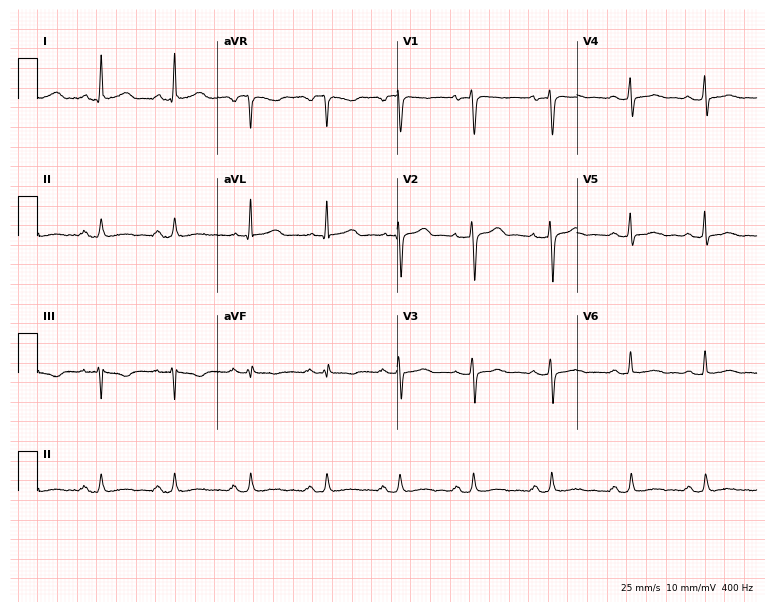
Resting 12-lead electrocardiogram. Patient: a man, 44 years old. None of these six findings is recorded: first-degree AV block, right bundle branch block, left bundle branch block, sinus bradycardia, atrial fibrillation, sinus tachycardia. Only these six findings were labelled.